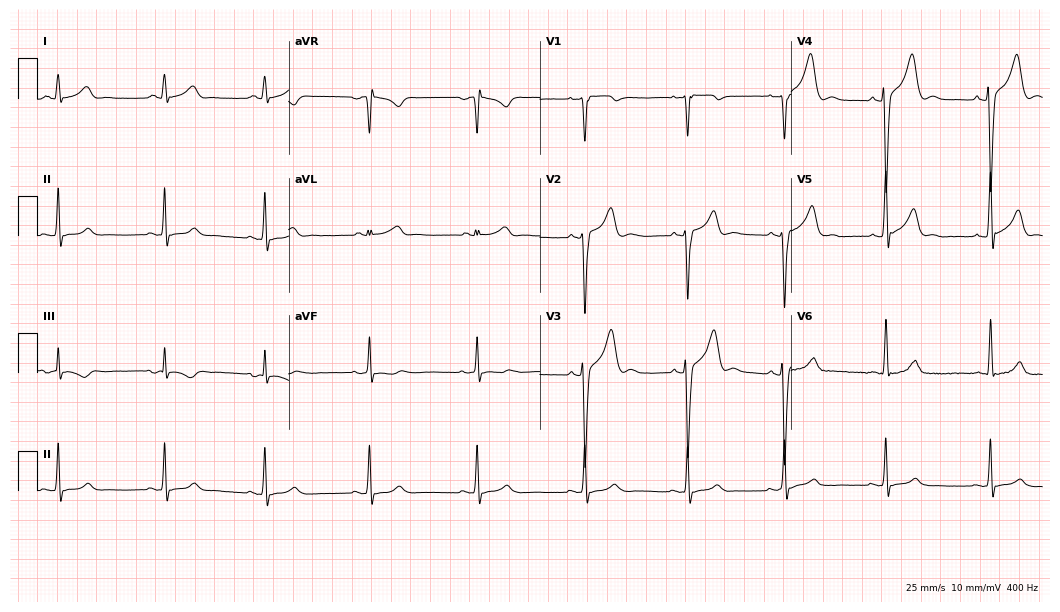
12-lead ECG from a male patient, 26 years old (10.2-second recording at 400 Hz). Recorded interpretation: within normal limits.